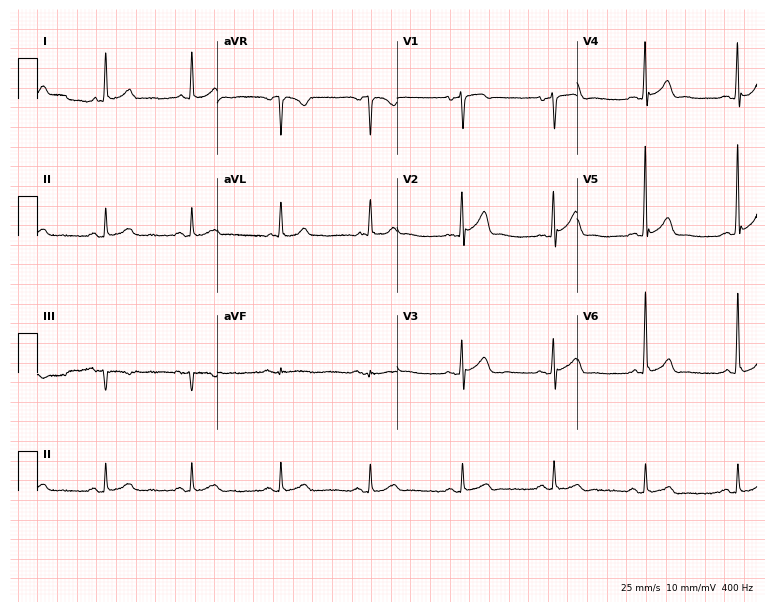
12-lead ECG (7.3-second recording at 400 Hz) from a 73-year-old male. Labelled as a normal ECG.